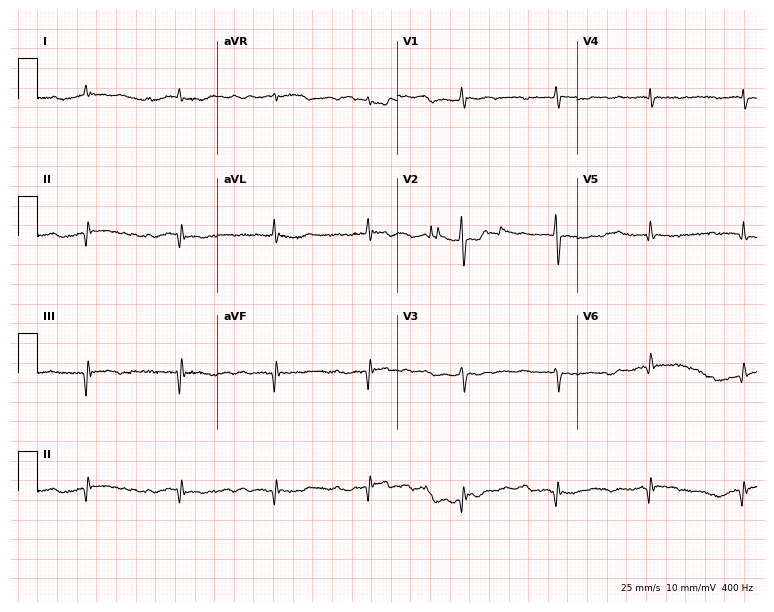
Electrocardiogram (7.3-second recording at 400 Hz), a 69-year-old man. Of the six screened findings (first-degree AV block, right bundle branch block (RBBB), left bundle branch block (LBBB), sinus bradycardia, atrial fibrillation (AF), sinus tachycardia), none is recorded.